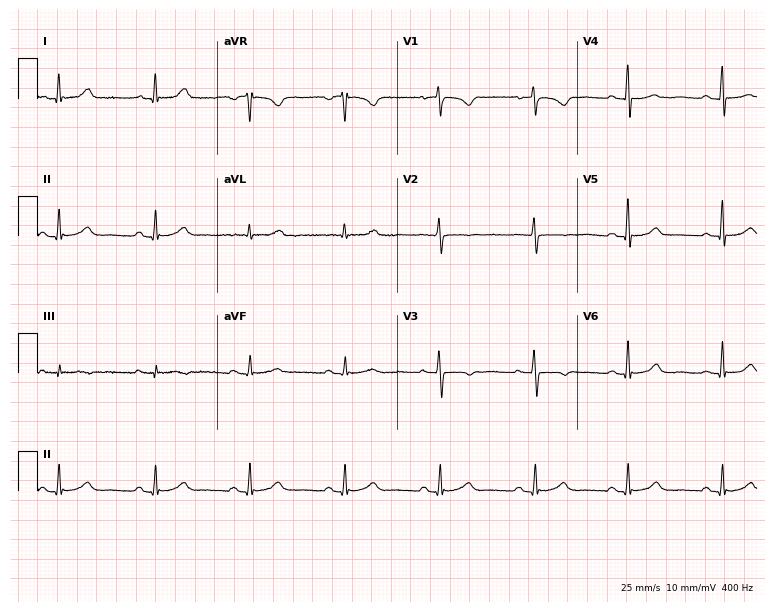
12-lead ECG from a 66-year-old female (7.3-second recording at 400 Hz). Recorded interpretation: within normal limits.